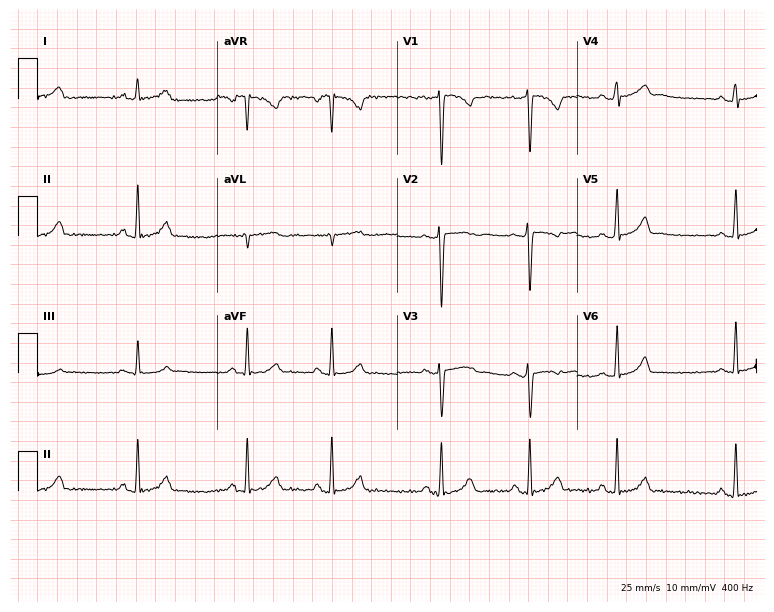
ECG (7.3-second recording at 400 Hz) — a 22-year-old female patient. Screened for six findings — first-degree AV block, right bundle branch block (RBBB), left bundle branch block (LBBB), sinus bradycardia, atrial fibrillation (AF), sinus tachycardia — none is recorded.